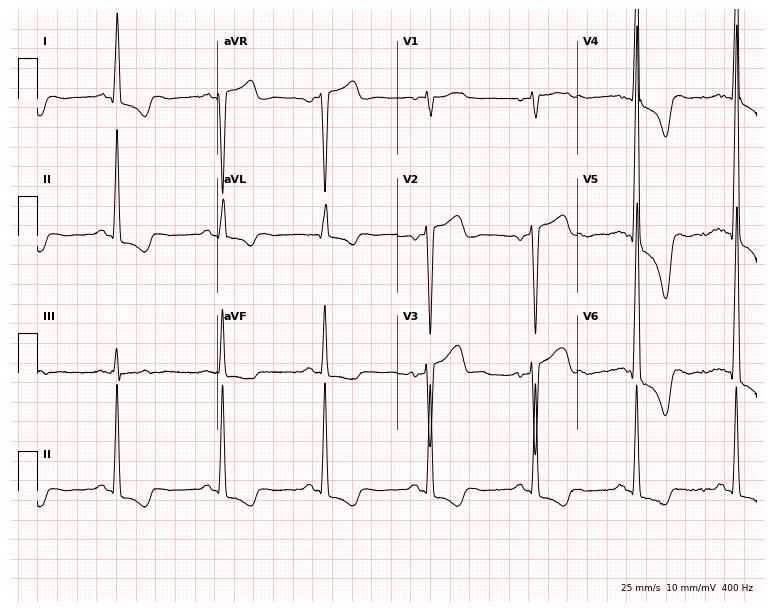
12-lead ECG (7.3-second recording at 400 Hz) from a male, 55 years old. Screened for six findings — first-degree AV block, right bundle branch block (RBBB), left bundle branch block (LBBB), sinus bradycardia, atrial fibrillation (AF), sinus tachycardia — none is recorded. Findings outside these six are not listed.